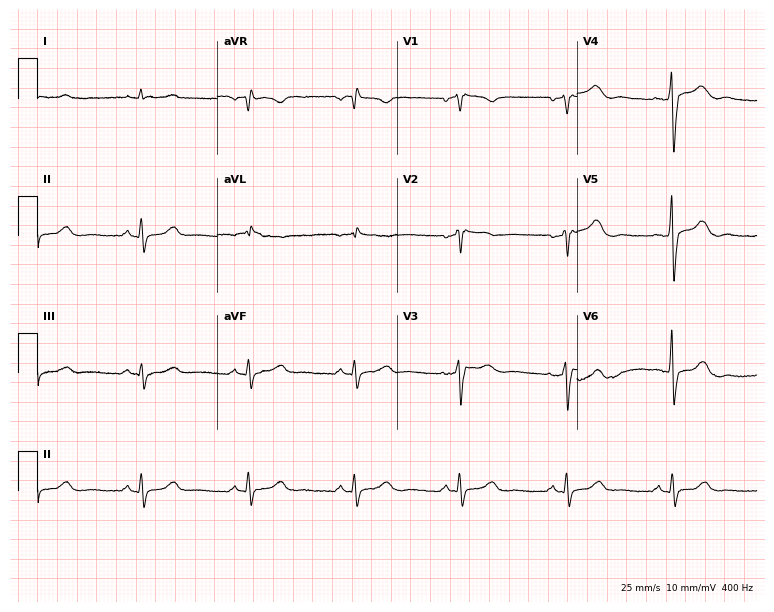
12-lead ECG (7.3-second recording at 400 Hz) from an 81-year-old male patient. Screened for six findings — first-degree AV block, right bundle branch block (RBBB), left bundle branch block (LBBB), sinus bradycardia, atrial fibrillation (AF), sinus tachycardia — none is recorded. Only these six findings were labelled.